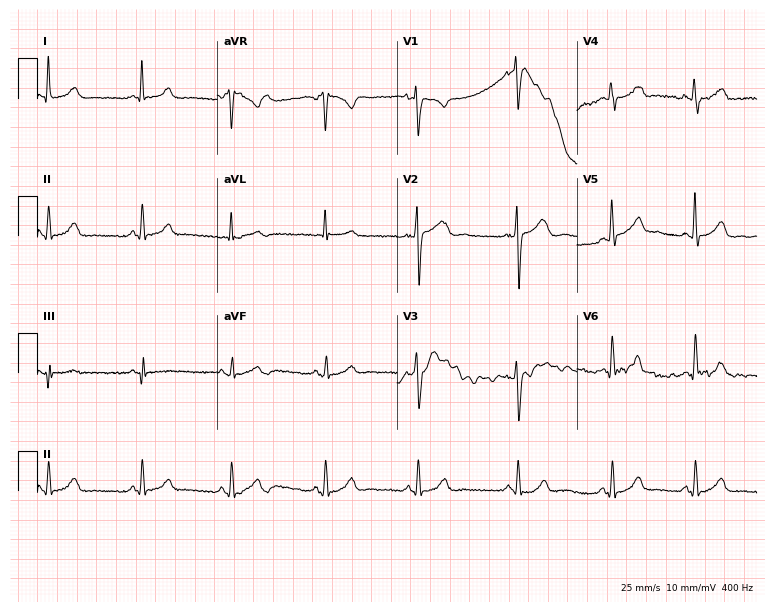
ECG — a 39-year-old male. Screened for six findings — first-degree AV block, right bundle branch block, left bundle branch block, sinus bradycardia, atrial fibrillation, sinus tachycardia — none is recorded. Findings outside these six are not listed.